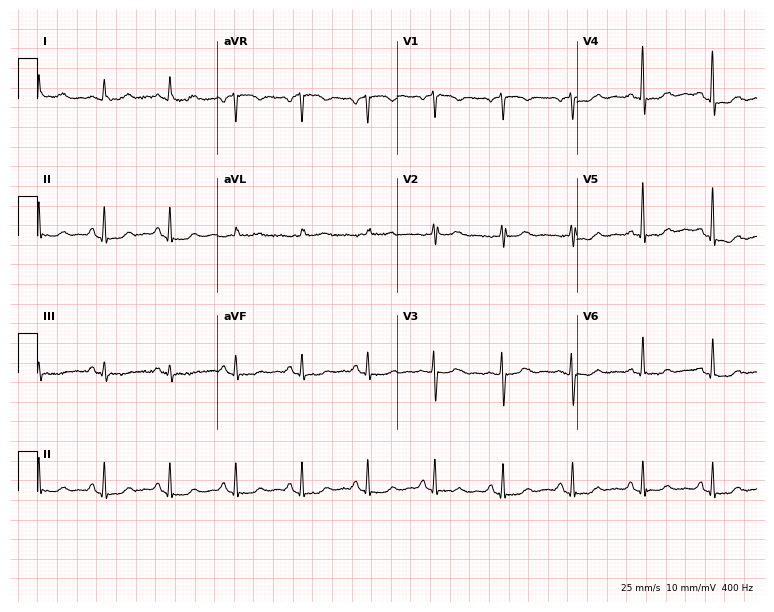
Resting 12-lead electrocardiogram. Patient: a female, 67 years old. None of these six findings is recorded: first-degree AV block, right bundle branch block, left bundle branch block, sinus bradycardia, atrial fibrillation, sinus tachycardia. Only these six findings were labelled.